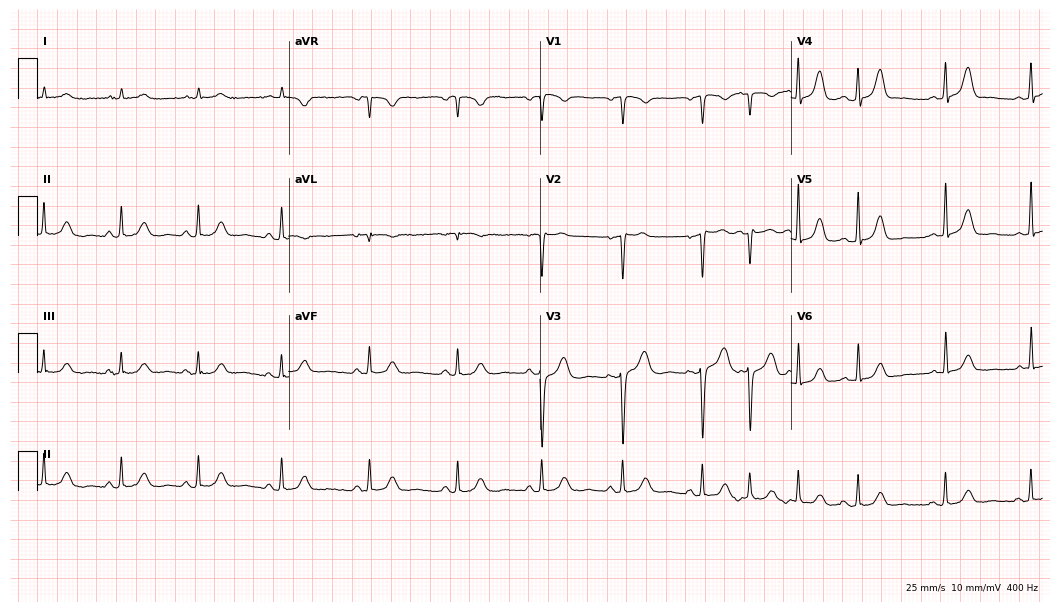
12-lead ECG (10.2-second recording at 400 Hz) from a female patient, 68 years old. Screened for six findings — first-degree AV block, right bundle branch block, left bundle branch block, sinus bradycardia, atrial fibrillation, sinus tachycardia — none is recorded. Only these six findings were labelled.